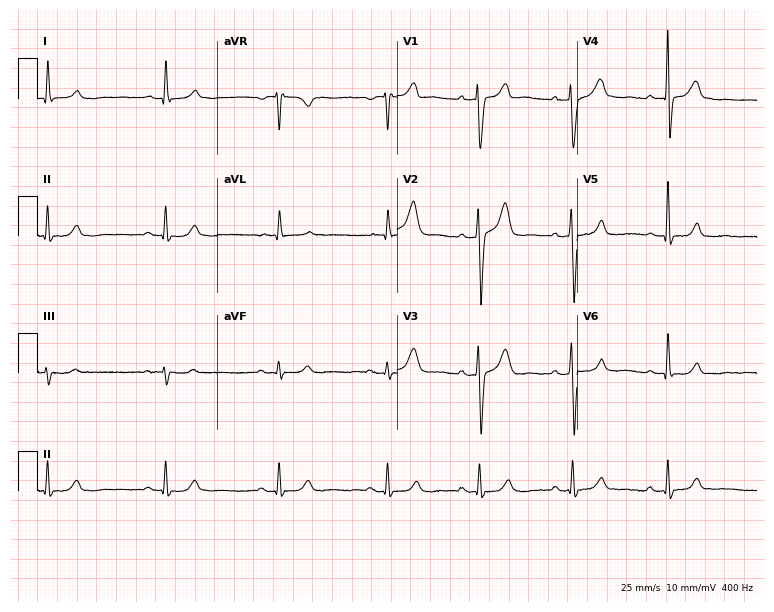
Standard 12-lead ECG recorded from a 68-year-old male (7.3-second recording at 400 Hz). Read as a normal ECG.